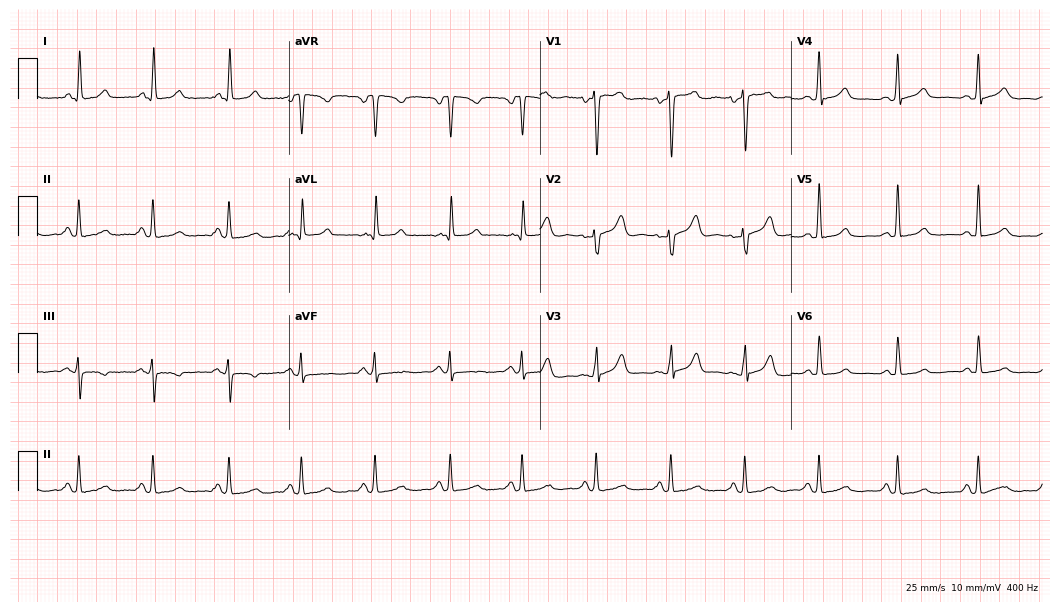
12-lead ECG (10.2-second recording at 400 Hz) from a 51-year-old female patient. Screened for six findings — first-degree AV block, right bundle branch block (RBBB), left bundle branch block (LBBB), sinus bradycardia, atrial fibrillation (AF), sinus tachycardia — none is recorded.